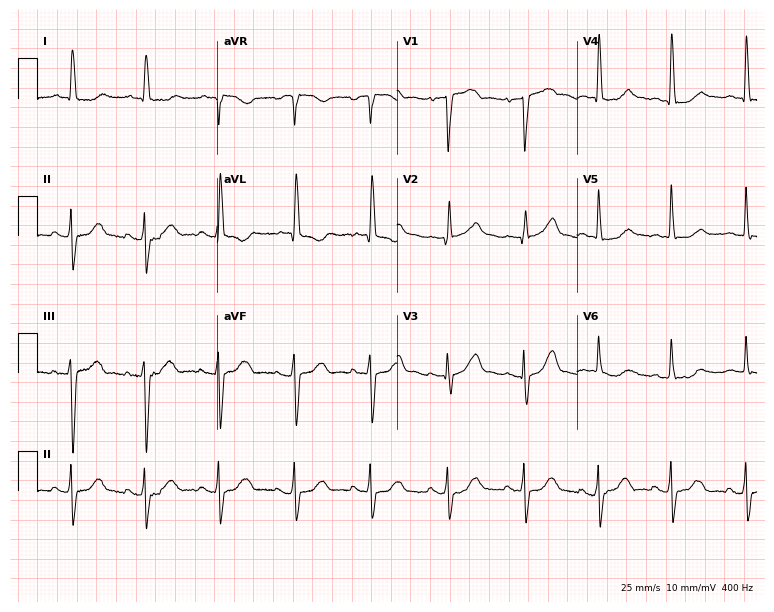
Standard 12-lead ECG recorded from a female, 75 years old. None of these six findings is recorded: first-degree AV block, right bundle branch block (RBBB), left bundle branch block (LBBB), sinus bradycardia, atrial fibrillation (AF), sinus tachycardia.